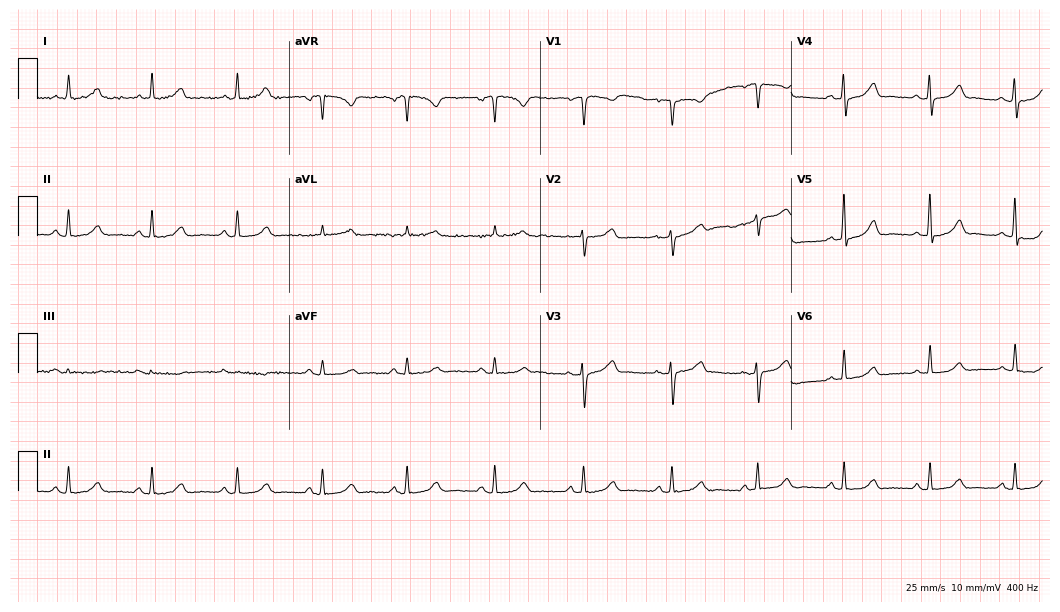
12-lead ECG from a 52-year-old female patient (10.2-second recording at 400 Hz). Recorded interpretation: within normal limits.